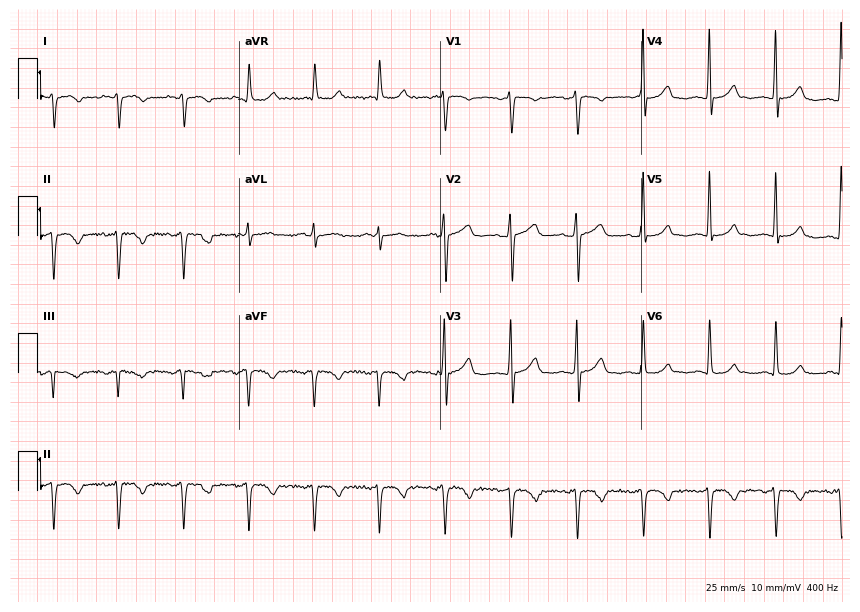
12-lead ECG from a 74-year-old woman. Screened for six findings — first-degree AV block, right bundle branch block (RBBB), left bundle branch block (LBBB), sinus bradycardia, atrial fibrillation (AF), sinus tachycardia — none is recorded. Findings outside these six are not listed.